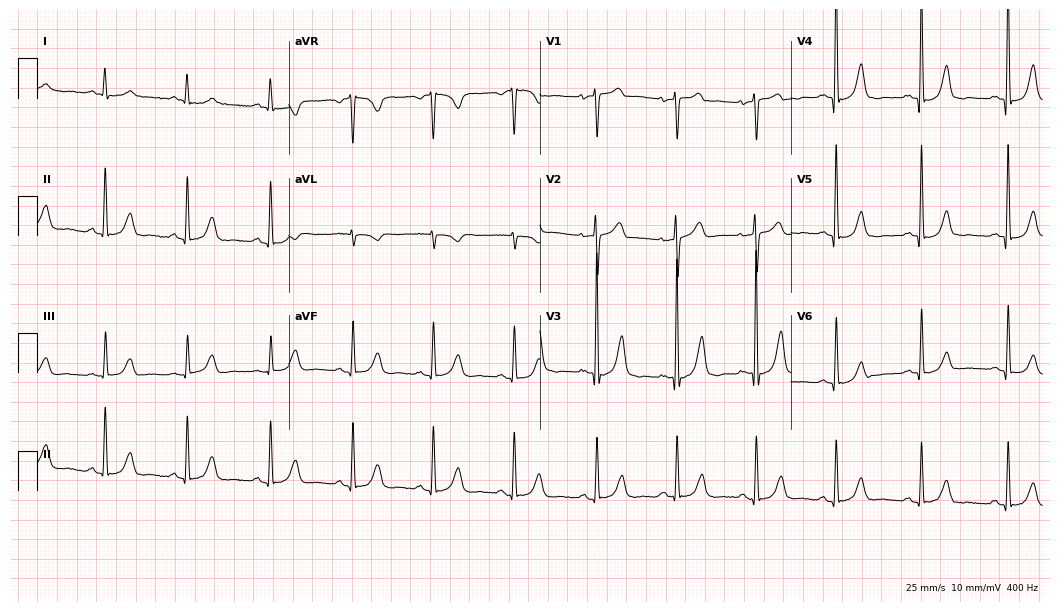
12-lead ECG from an 82-year-old female. No first-degree AV block, right bundle branch block, left bundle branch block, sinus bradycardia, atrial fibrillation or sinus tachycardia recorded for this tracing. Other findings, if any, are not listed.